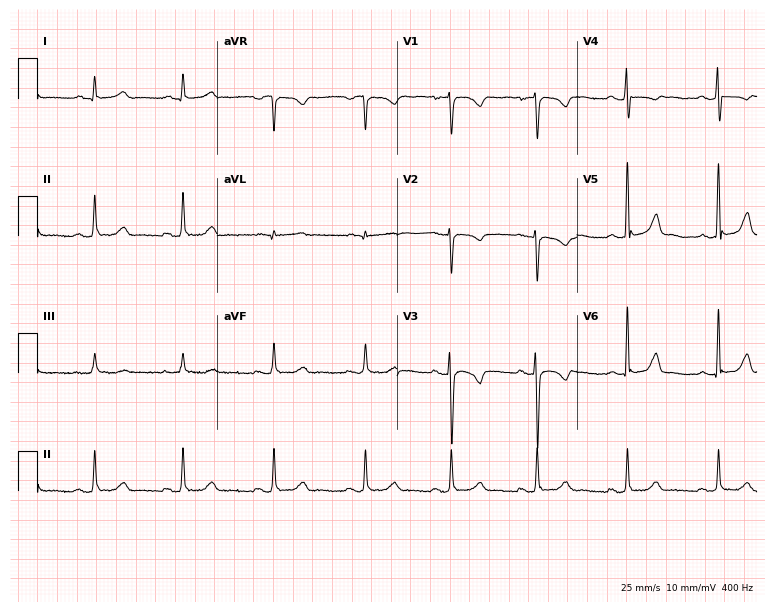
ECG (7.3-second recording at 400 Hz) — a female patient, 29 years old. Labelled as a normal ECG.